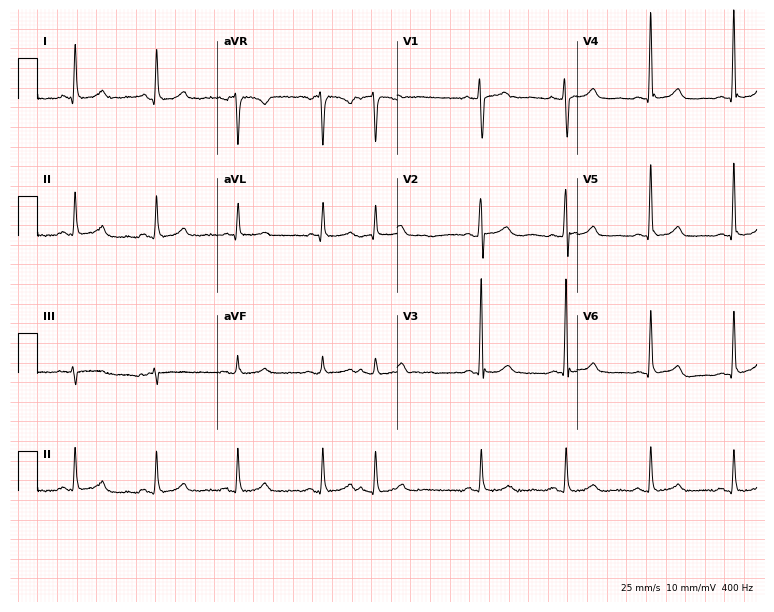
ECG (7.3-second recording at 400 Hz) — a female, 63 years old. Labelled as a normal ECG.